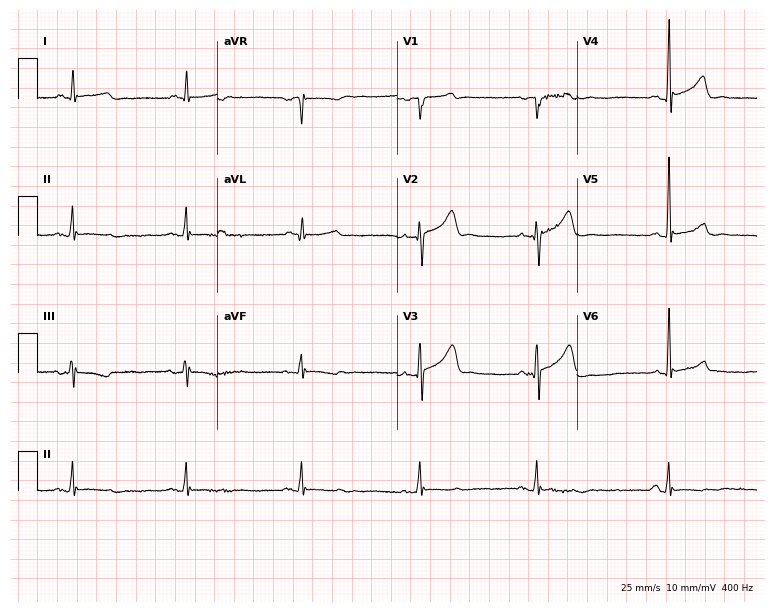
12-lead ECG from a 69-year-old male. No first-degree AV block, right bundle branch block (RBBB), left bundle branch block (LBBB), sinus bradycardia, atrial fibrillation (AF) or sinus tachycardia recorded for this tracing.